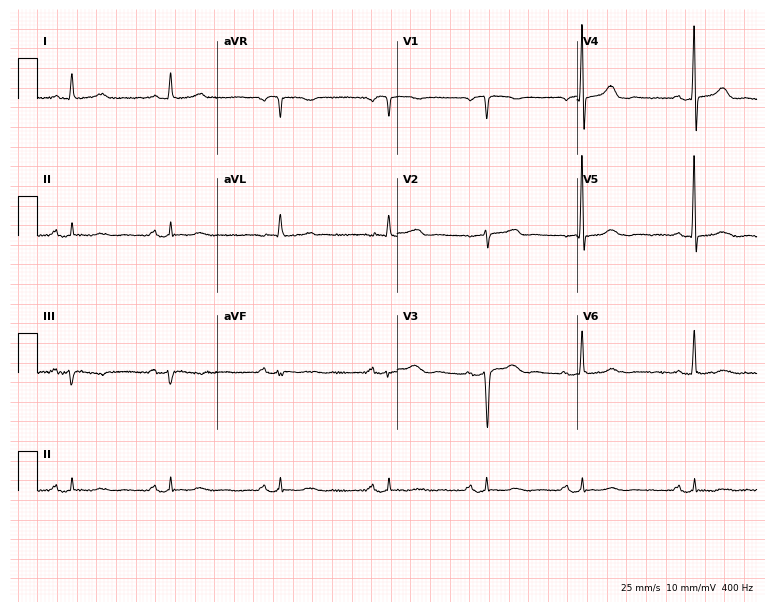
12-lead ECG from a woman, 71 years old. Recorded interpretation: within normal limits.